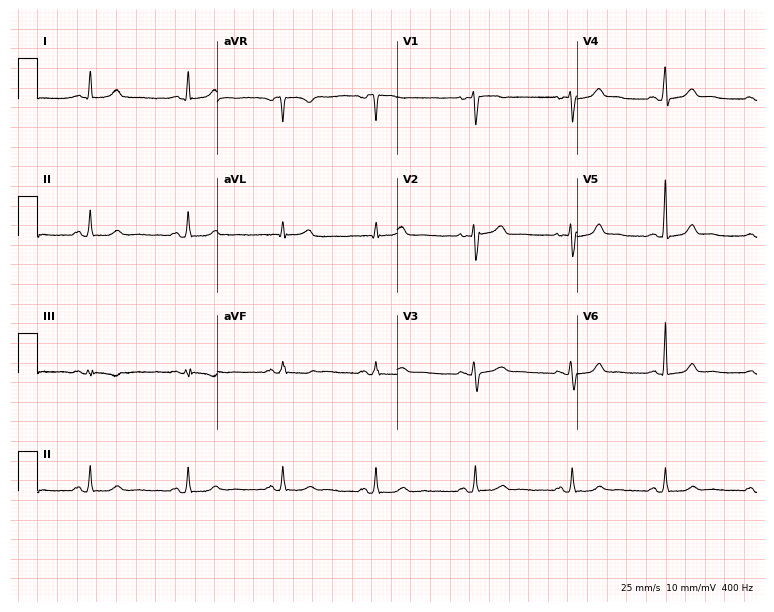
Electrocardiogram (7.3-second recording at 400 Hz), a 30-year-old female. Overall reading on record: normal ECG.